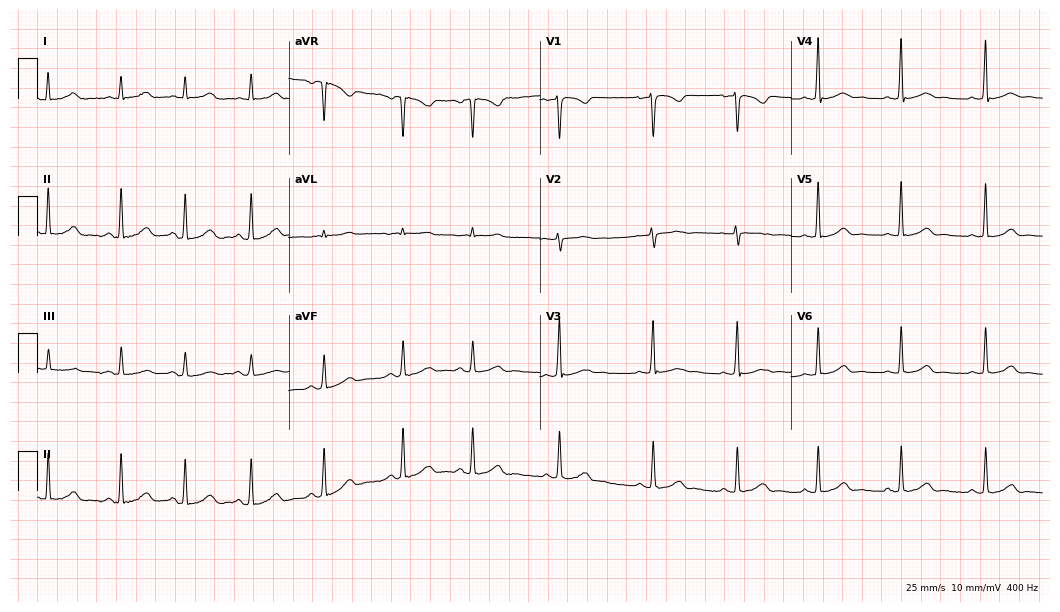
Standard 12-lead ECG recorded from a 33-year-old woman. Read as a normal ECG.